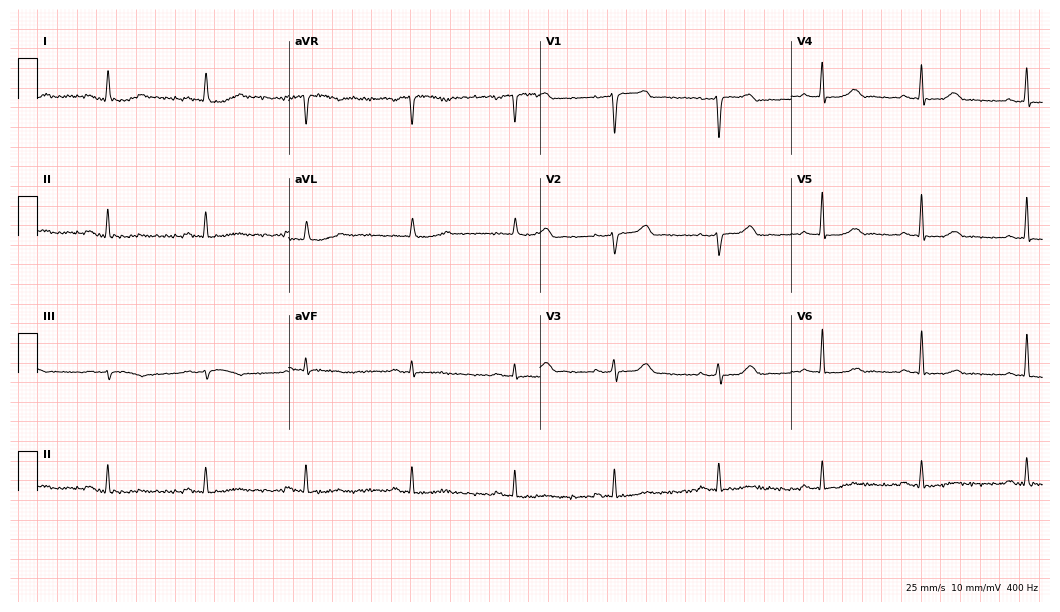
Electrocardiogram, a female, 68 years old. Of the six screened findings (first-degree AV block, right bundle branch block, left bundle branch block, sinus bradycardia, atrial fibrillation, sinus tachycardia), none is recorded. Findings outside these six are not listed.